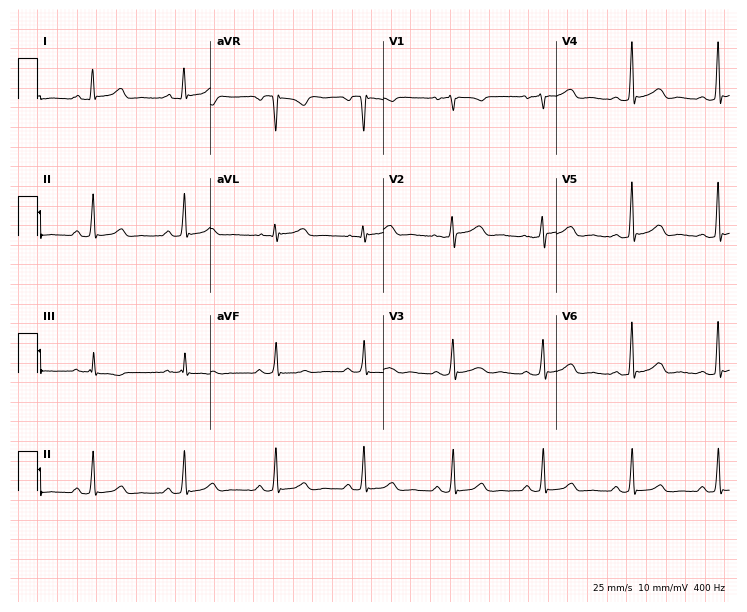
12-lead ECG from a 41-year-old female patient. Labelled as a normal ECG.